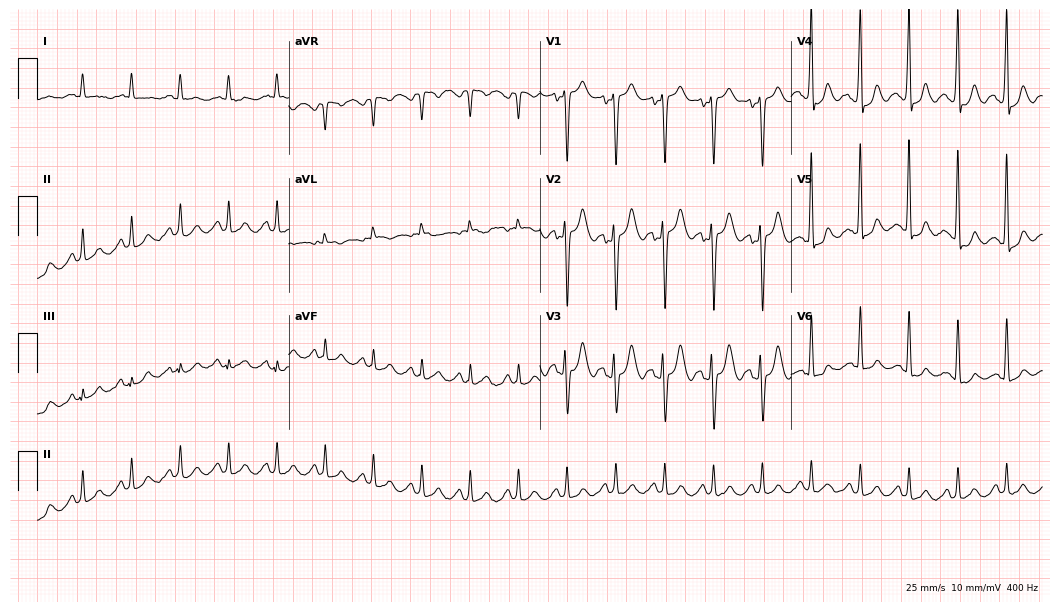
ECG — a male patient, 31 years old. Findings include sinus tachycardia (a sinus rate of 100 beats per minute or more).